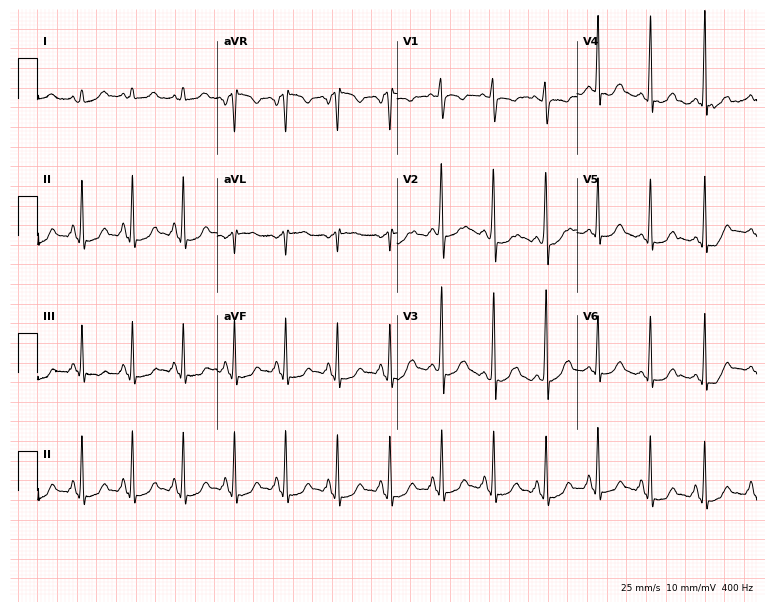
12-lead ECG from a 28-year-old female (7.3-second recording at 400 Hz). Shows sinus tachycardia (a sinus rate of 100 beats per minute or more).